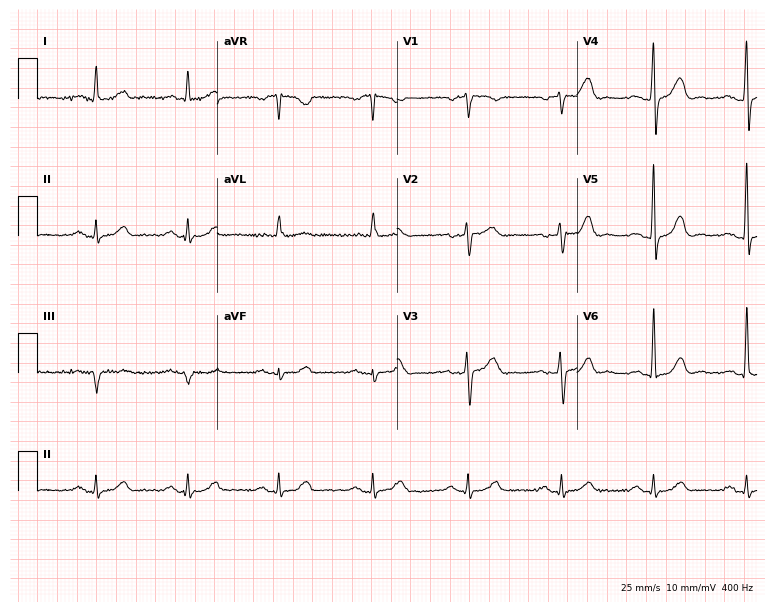
Standard 12-lead ECG recorded from a 50-year-old male (7.3-second recording at 400 Hz). None of these six findings is recorded: first-degree AV block, right bundle branch block, left bundle branch block, sinus bradycardia, atrial fibrillation, sinus tachycardia. Other findings, if any, are not listed.